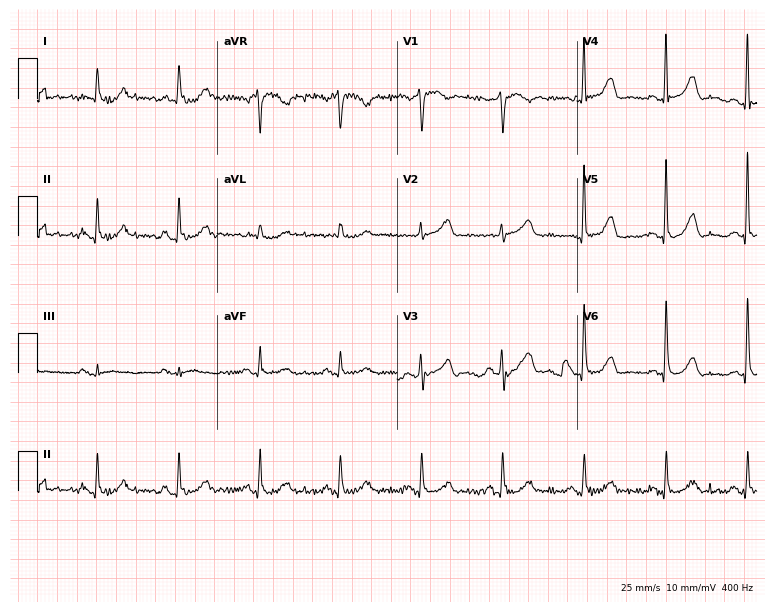
Electrocardiogram, a woman, 67 years old. Overall reading on record: normal ECG.